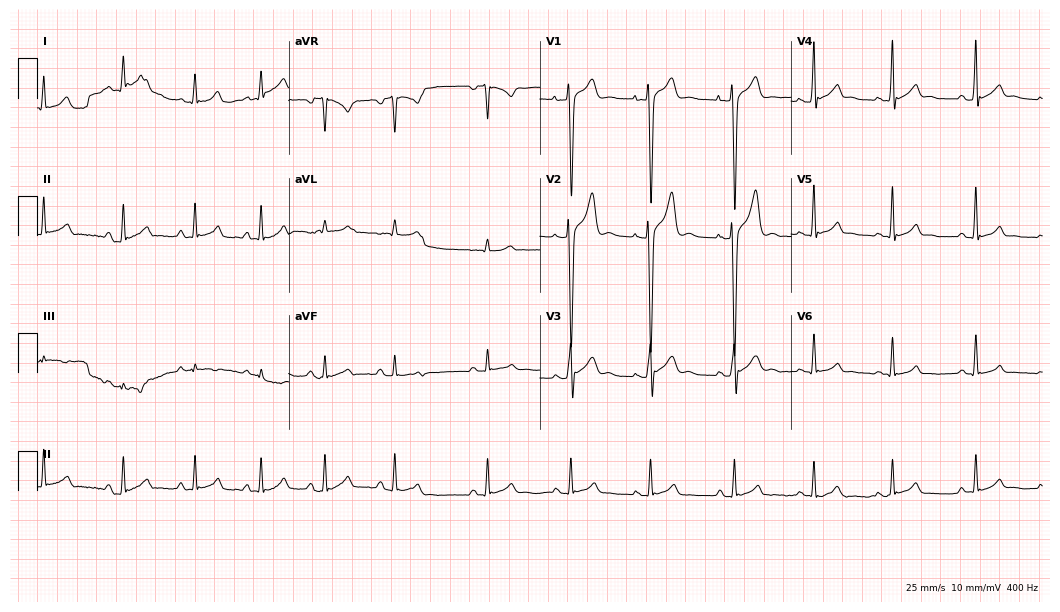
12-lead ECG from an 18-year-old male patient (10.2-second recording at 400 Hz). Recorded interpretation: within normal limits.